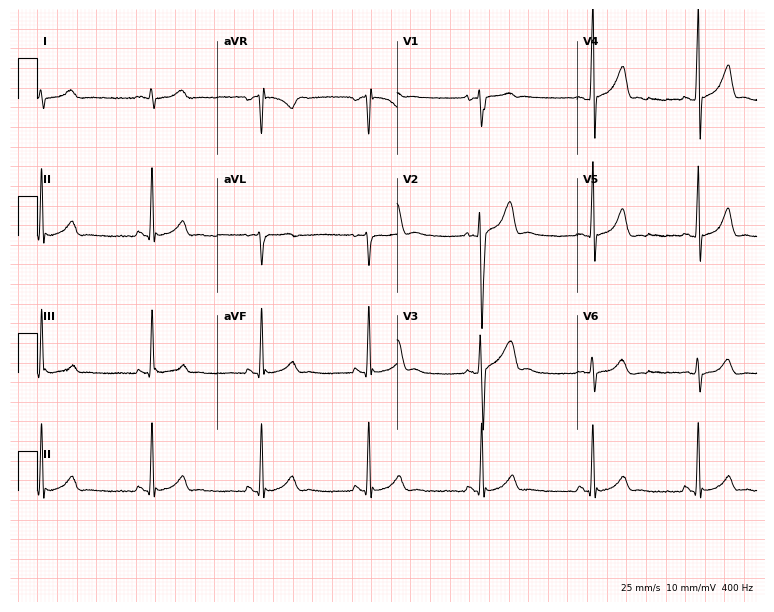
12-lead ECG (7.3-second recording at 400 Hz) from a male, 19 years old. Labelled as a normal ECG.